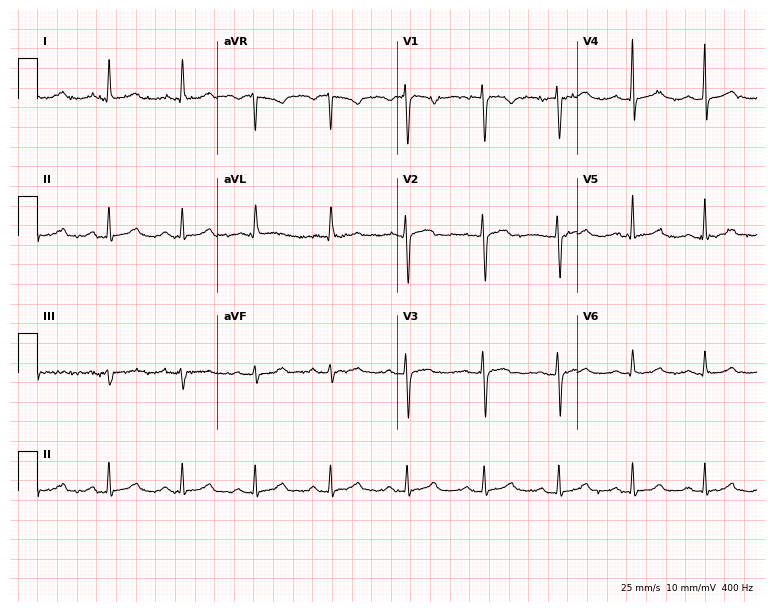
Resting 12-lead electrocardiogram. Patient: a 58-year-old female. Read as a normal ECG.